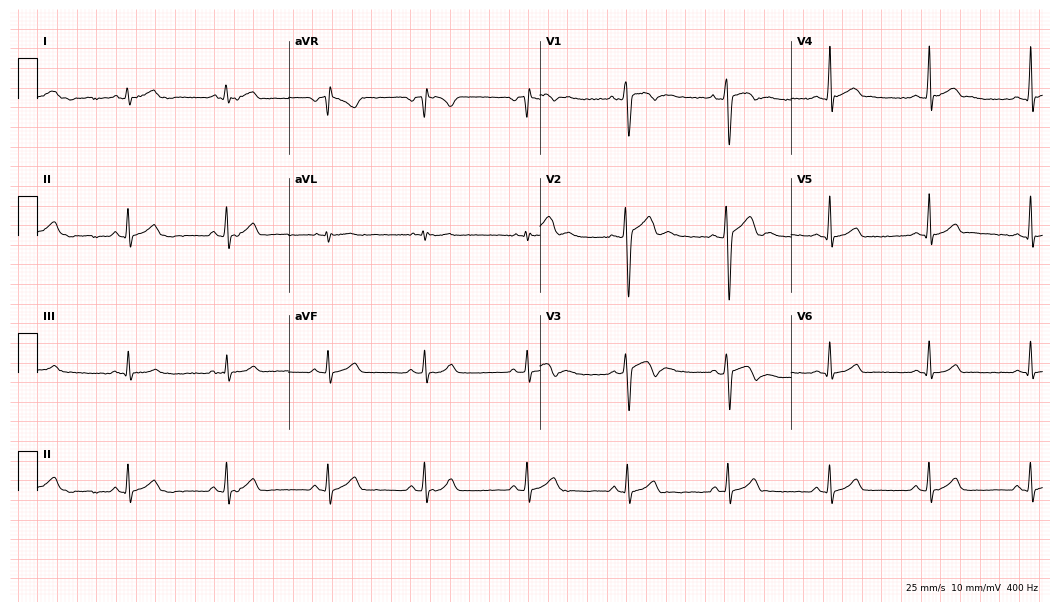
Resting 12-lead electrocardiogram (10.2-second recording at 400 Hz). Patient: an 18-year-old male. Read as a normal ECG.